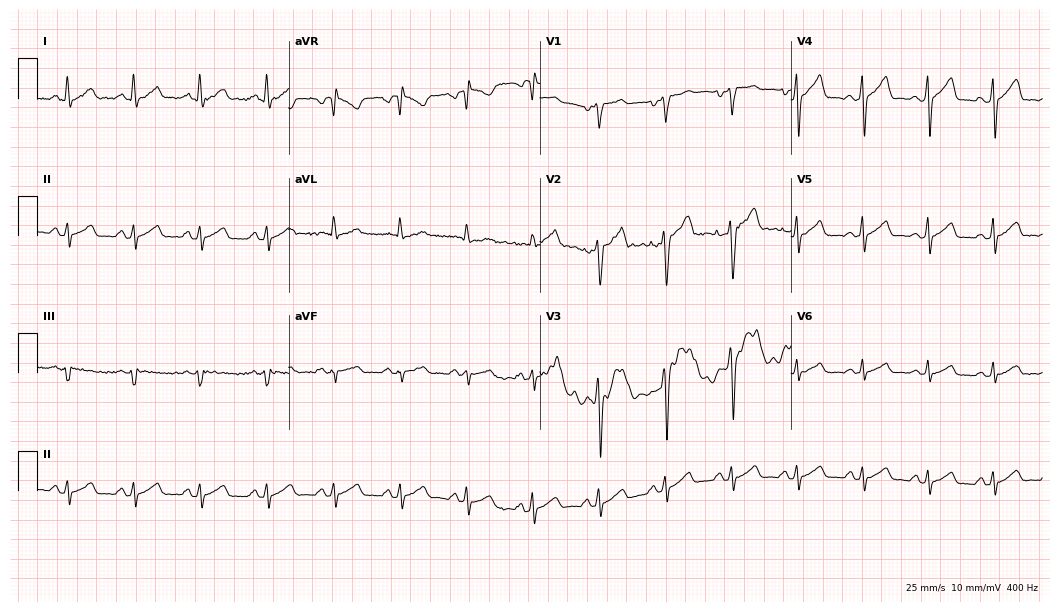
Resting 12-lead electrocardiogram (10.2-second recording at 400 Hz). Patient: a 31-year-old man. Read as a normal ECG.